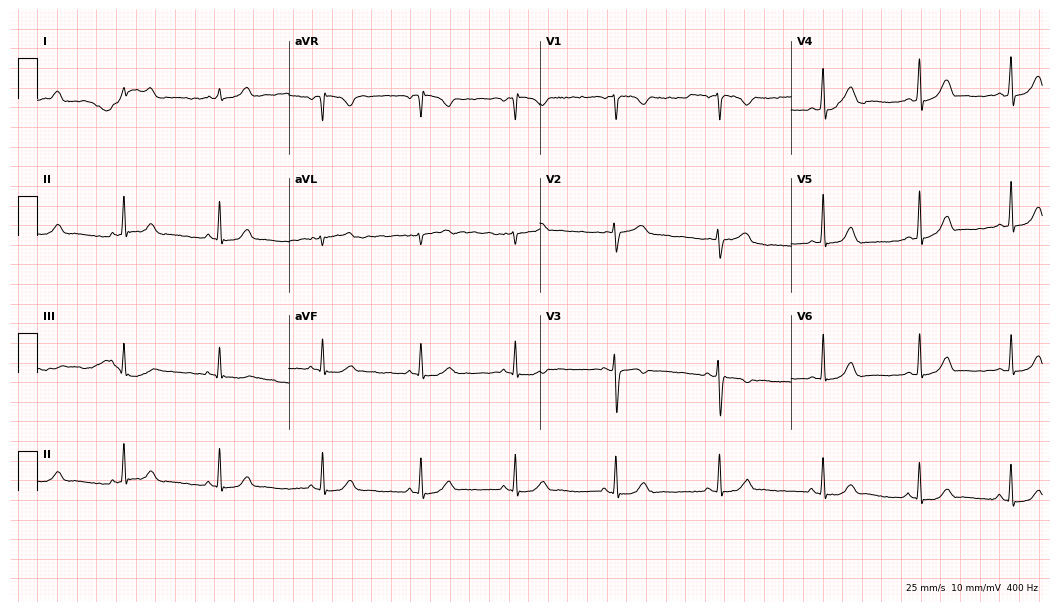
Resting 12-lead electrocardiogram (10.2-second recording at 400 Hz). Patient: a female, 29 years old. Read as a normal ECG.